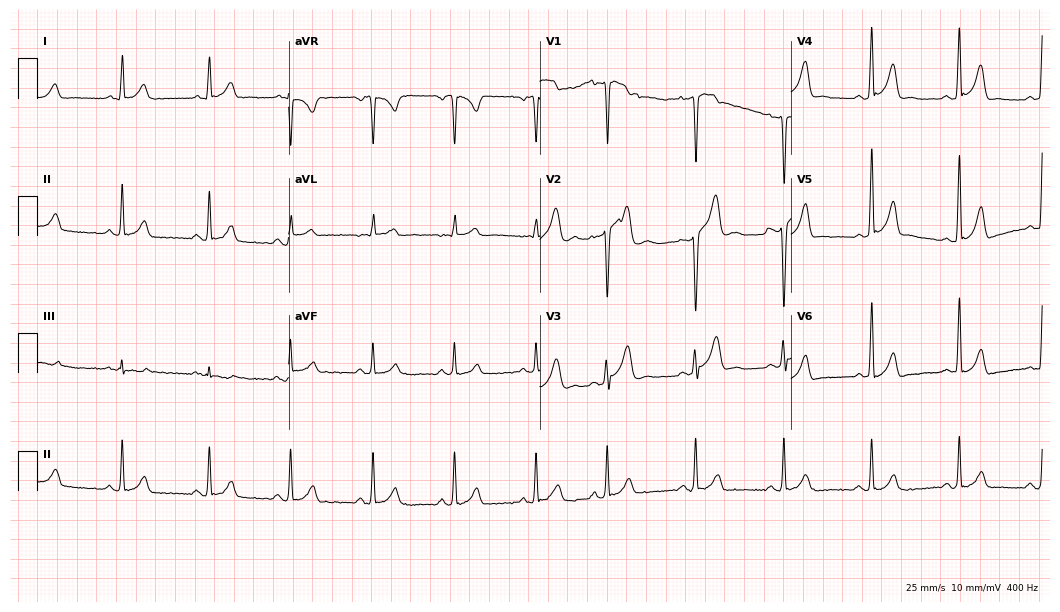
12-lead ECG from a 24-year-old man. Labelled as a normal ECG.